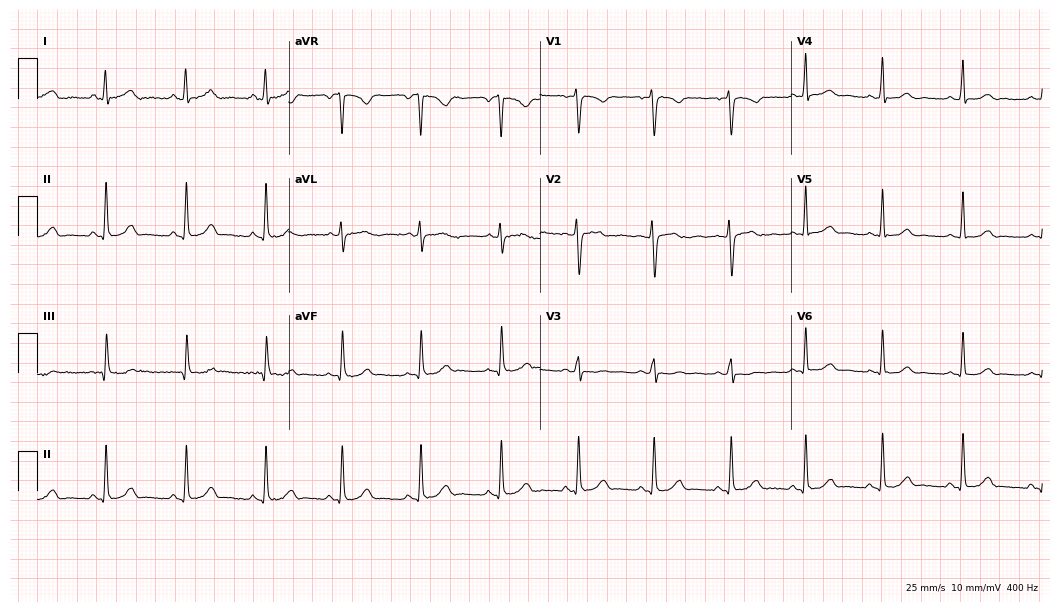
Resting 12-lead electrocardiogram. Patient: a female, 37 years old. Read as a normal ECG.